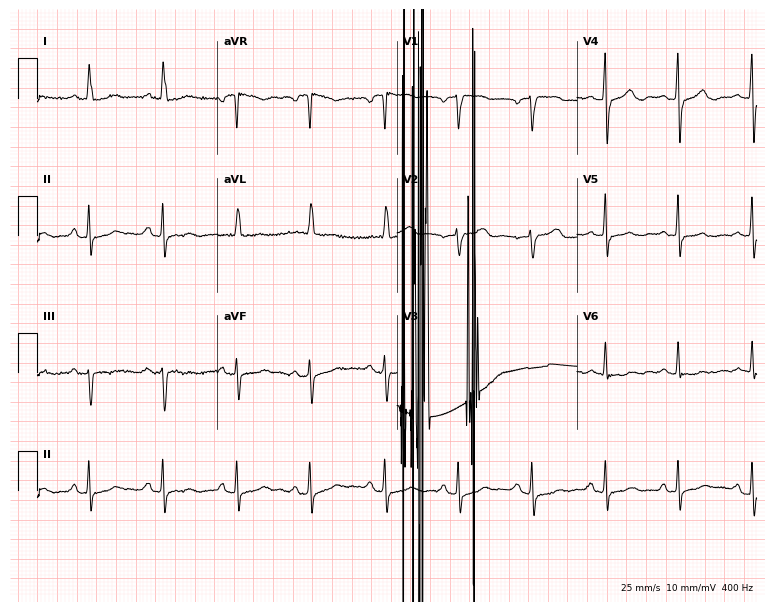
Resting 12-lead electrocardiogram. Patient: a 62-year-old woman. None of these six findings is recorded: first-degree AV block, right bundle branch block (RBBB), left bundle branch block (LBBB), sinus bradycardia, atrial fibrillation (AF), sinus tachycardia. Other findings, if any, are not listed.